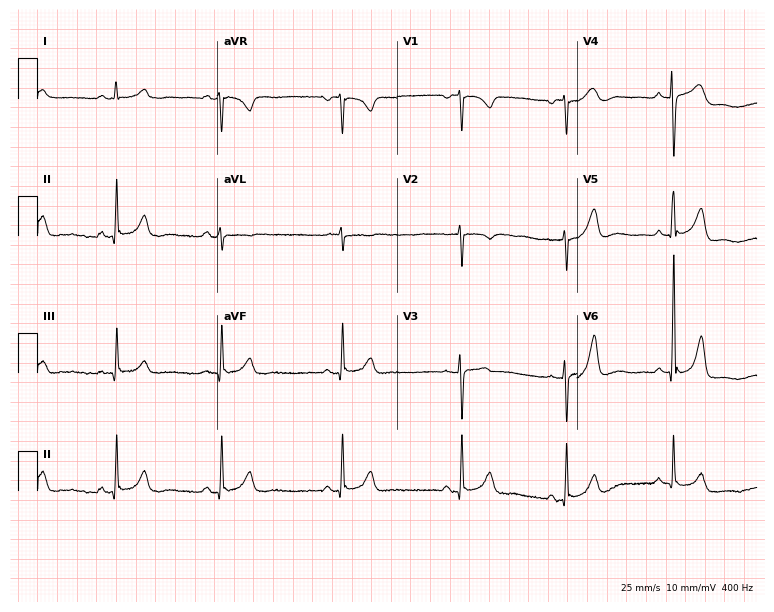
12-lead ECG from a female, 36 years old (7.3-second recording at 400 Hz). Recorded interpretation: within normal limits.